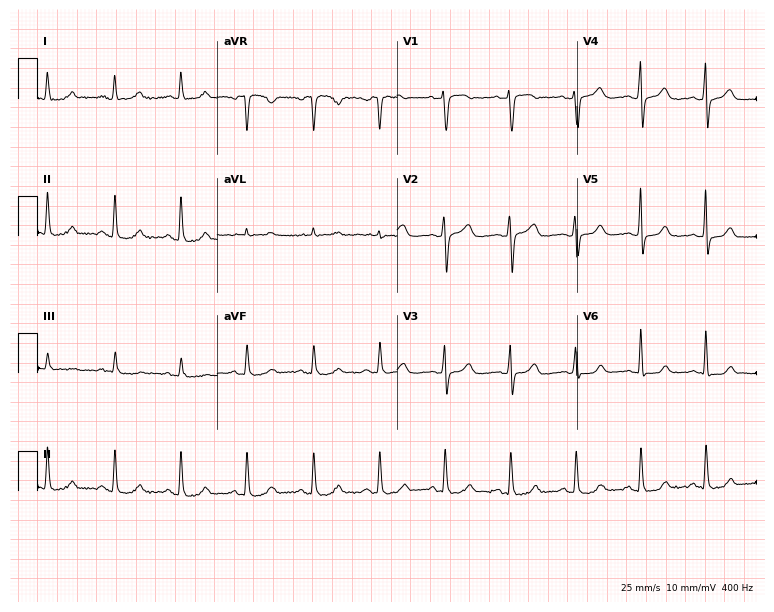
Resting 12-lead electrocardiogram. Patient: a woman, 54 years old. None of these six findings is recorded: first-degree AV block, right bundle branch block, left bundle branch block, sinus bradycardia, atrial fibrillation, sinus tachycardia.